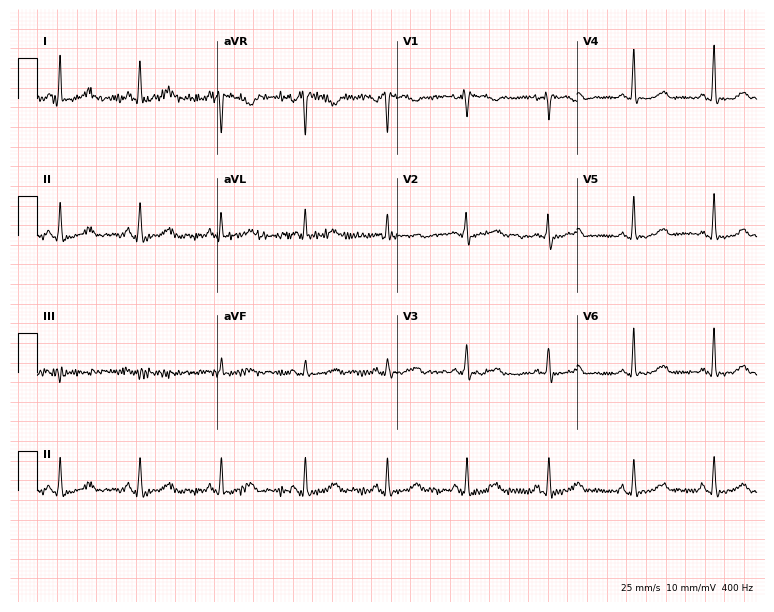
ECG (7.3-second recording at 400 Hz) — a 57-year-old woman. Screened for six findings — first-degree AV block, right bundle branch block, left bundle branch block, sinus bradycardia, atrial fibrillation, sinus tachycardia — none is recorded.